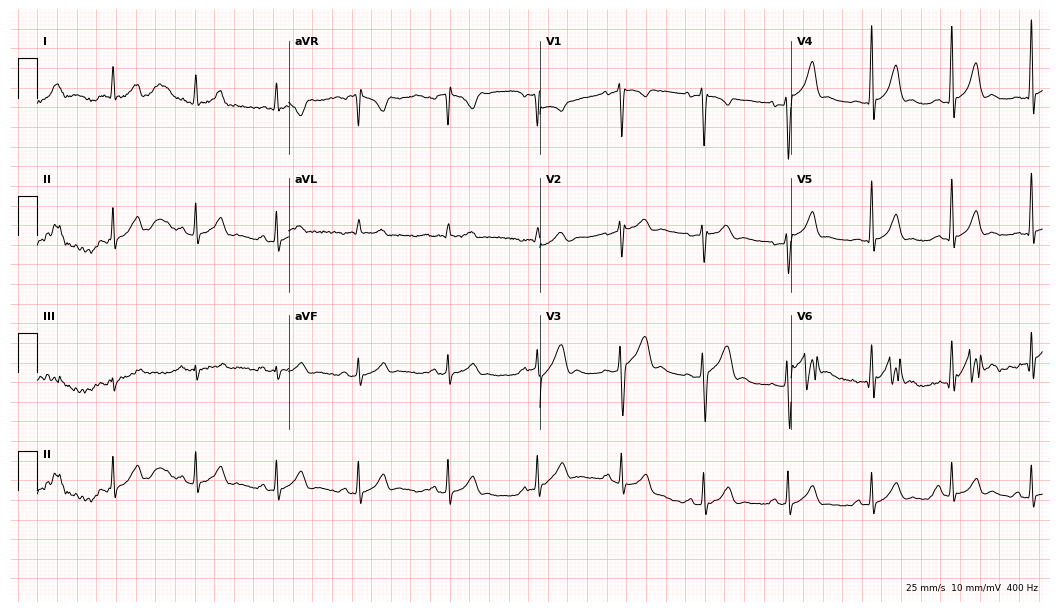
12-lead ECG (10.2-second recording at 400 Hz) from a male patient, 32 years old. Labelled as a normal ECG.